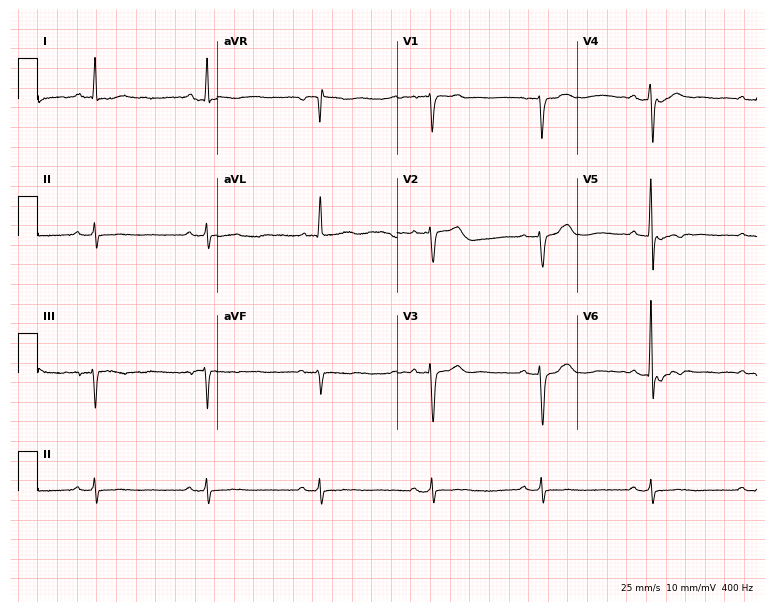
Resting 12-lead electrocardiogram (7.3-second recording at 400 Hz). Patient: a male, 71 years old. None of these six findings is recorded: first-degree AV block, right bundle branch block, left bundle branch block, sinus bradycardia, atrial fibrillation, sinus tachycardia. Other findings, if any, are not listed.